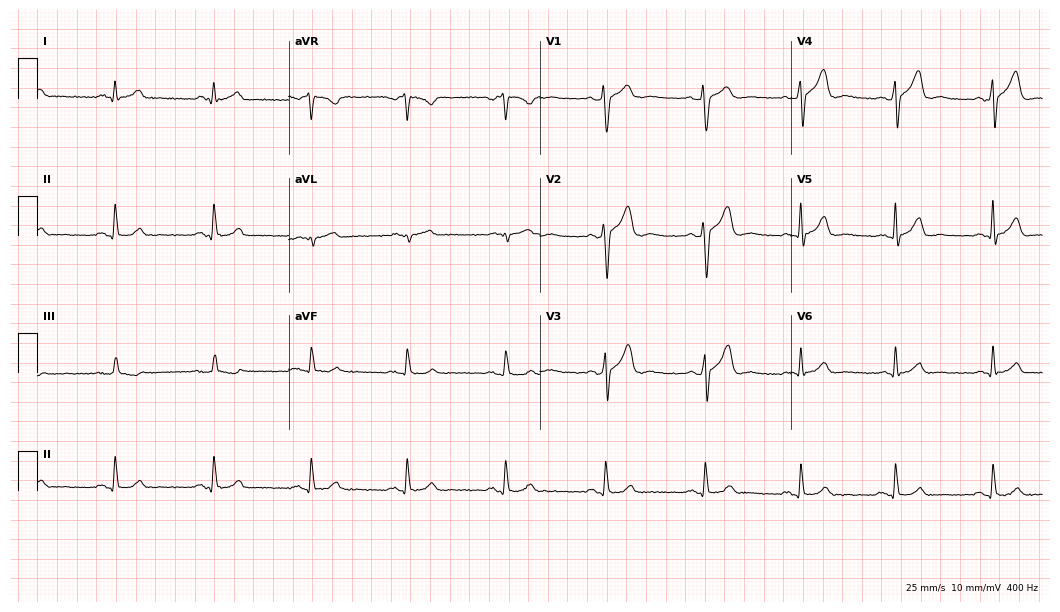
ECG — a 50-year-old male. Labelled as a normal ECG.